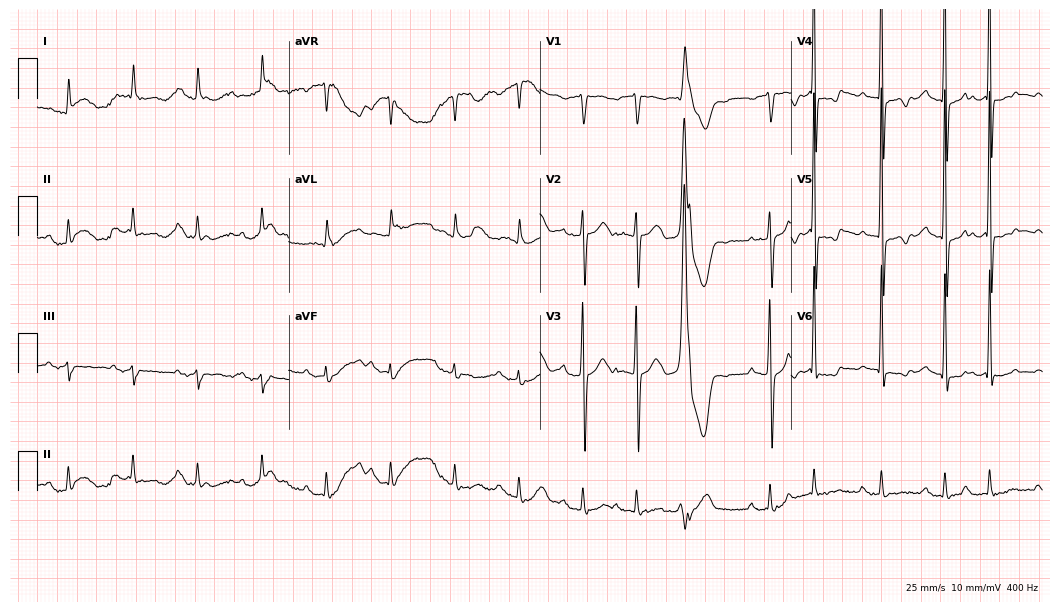
12-lead ECG (10.2-second recording at 400 Hz) from an 82-year-old man. Screened for six findings — first-degree AV block, right bundle branch block (RBBB), left bundle branch block (LBBB), sinus bradycardia, atrial fibrillation (AF), sinus tachycardia — none is recorded.